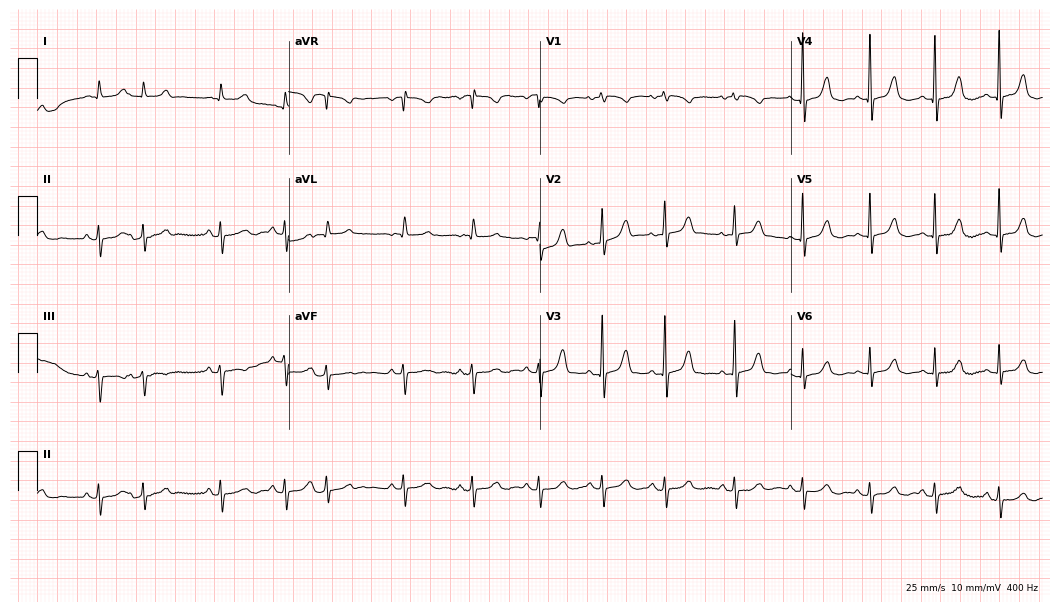
Electrocardiogram (10.2-second recording at 400 Hz), an 82-year-old woman. Of the six screened findings (first-degree AV block, right bundle branch block, left bundle branch block, sinus bradycardia, atrial fibrillation, sinus tachycardia), none is recorded.